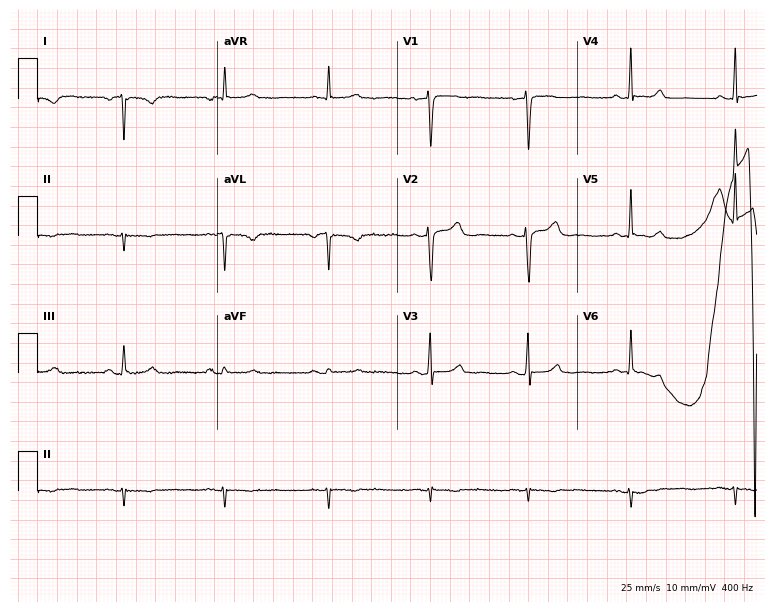
ECG (7.3-second recording at 400 Hz) — a 55-year-old woman. Screened for six findings — first-degree AV block, right bundle branch block (RBBB), left bundle branch block (LBBB), sinus bradycardia, atrial fibrillation (AF), sinus tachycardia — none is recorded.